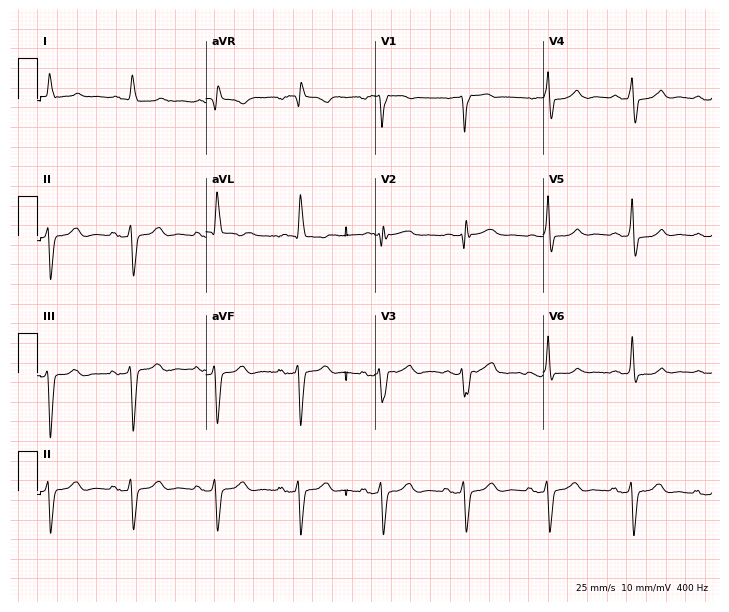
Resting 12-lead electrocardiogram (6.9-second recording at 400 Hz). Patient: a man, 79 years old. None of these six findings is recorded: first-degree AV block, right bundle branch block (RBBB), left bundle branch block (LBBB), sinus bradycardia, atrial fibrillation (AF), sinus tachycardia.